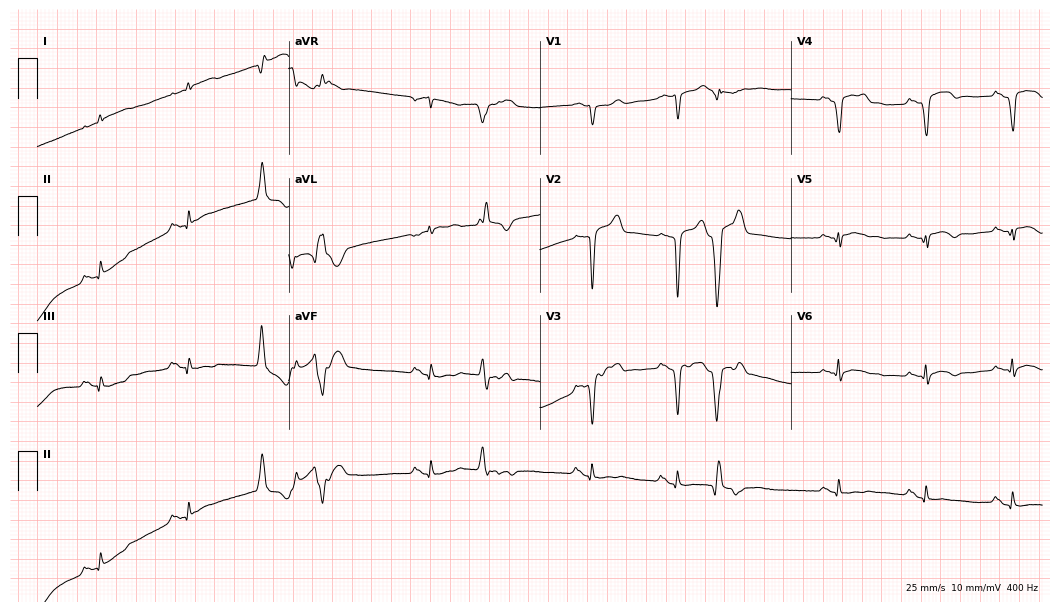
Standard 12-lead ECG recorded from a 62-year-old male patient (10.2-second recording at 400 Hz). None of these six findings is recorded: first-degree AV block, right bundle branch block (RBBB), left bundle branch block (LBBB), sinus bradycardia, atrial fibrillation (AF), sinus tachycardia.